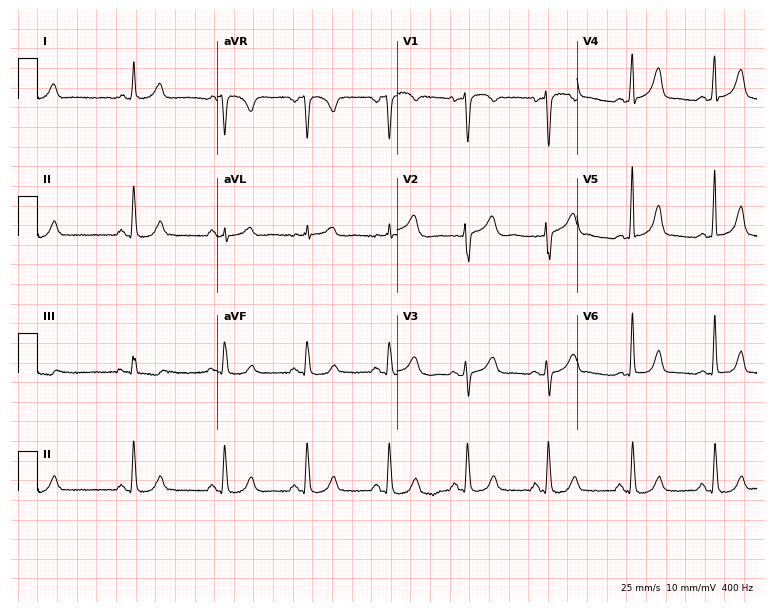
Standard 12-lead ECG recorded from a woman, 47 years old (7.3-second recording at 400 Hz). Read as a normal ECG.